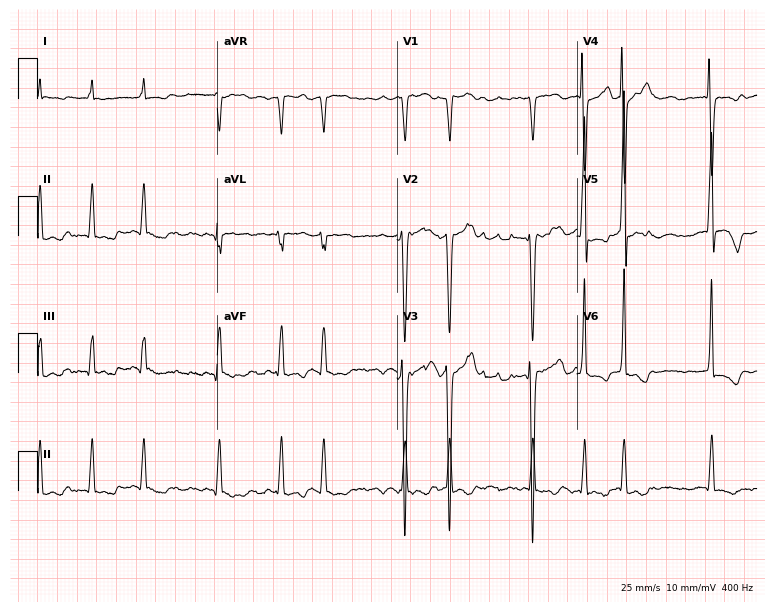
Electrocardiogram (7.3-second recording at 400 Hz), a 60-year-old man. Interpretation includes atrial fibrillation (AF).